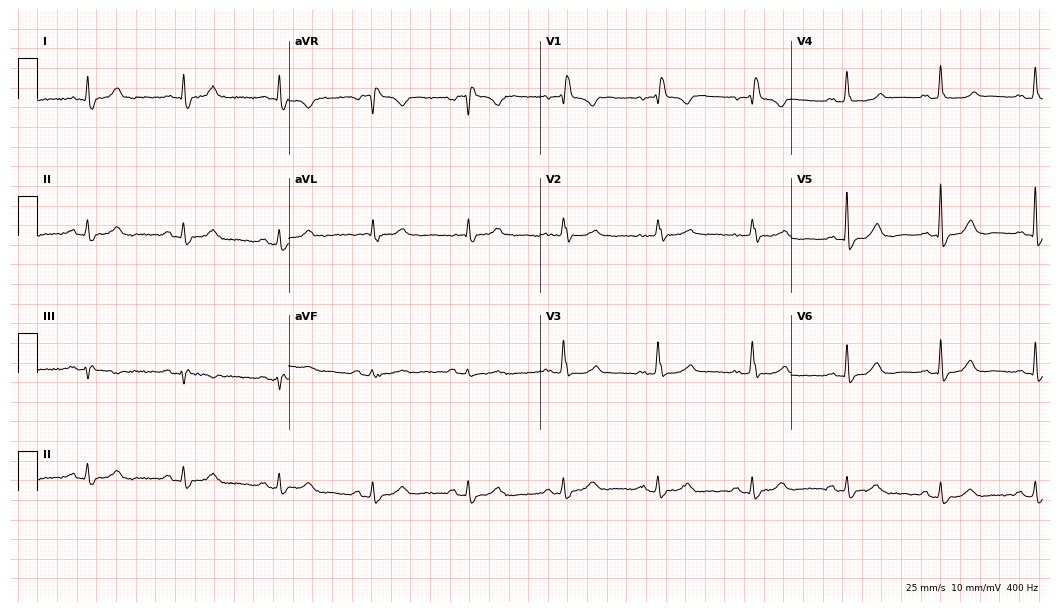
Resting 12-lead electrocardiogram. Patient: a 64-year-old female. The tracing shows right bundle branch block.